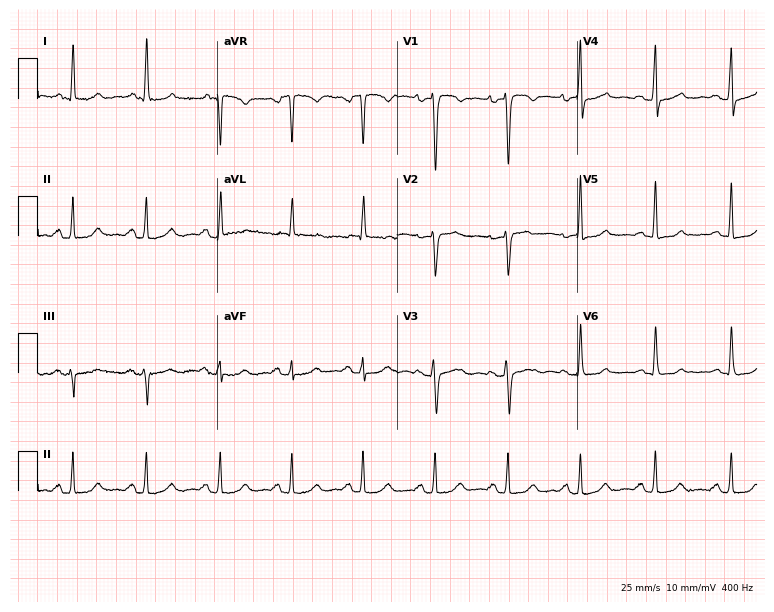
12-lead ECG from a 36-year-old female patient (7.3-second recording at 400 Hz). Recorded interpretation: within normal limits.